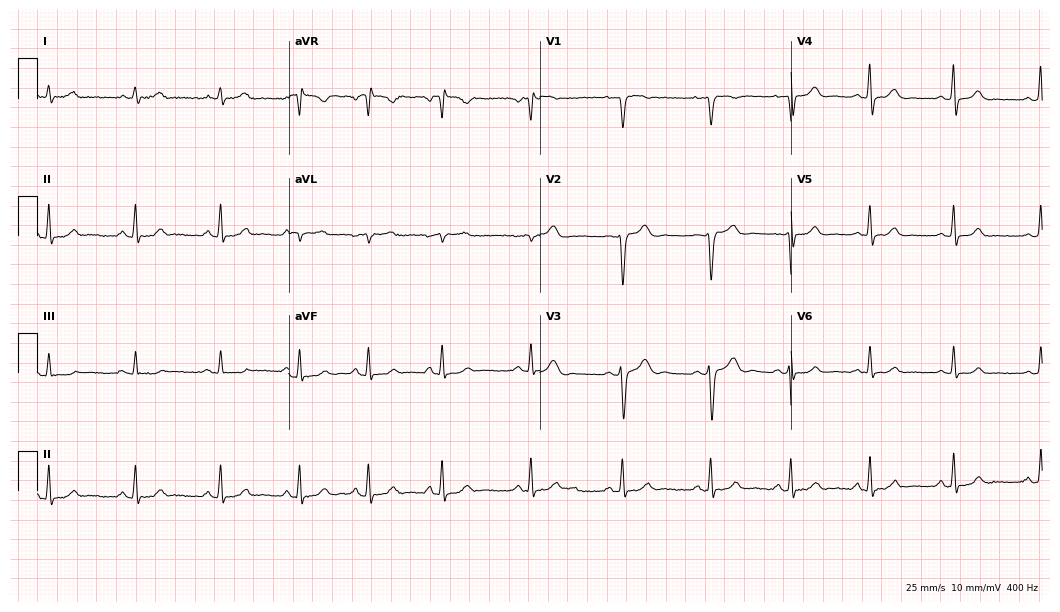
Standard 12-lead ECG recorded from a 21-year-old female patient (10.2-second recording at 400 Hz). Read as a normal ECG.